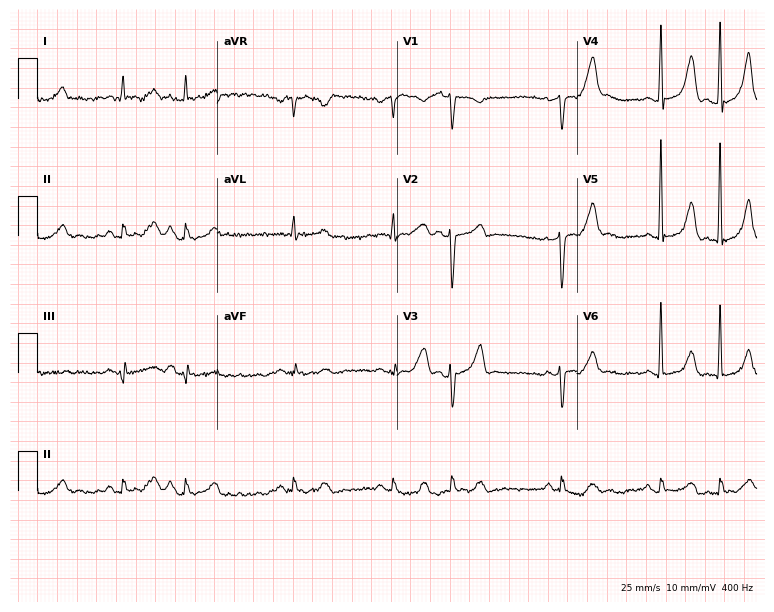
Standard 12-lead ECG recorded from a 70-year-old male patient. None of these six findings is recorded: first-degree AV block, right bundle branch block, left bundle branch block, sinus bradycardia, atrial fibrillation, sinus tachycardia. Findings outside these six are not listed.